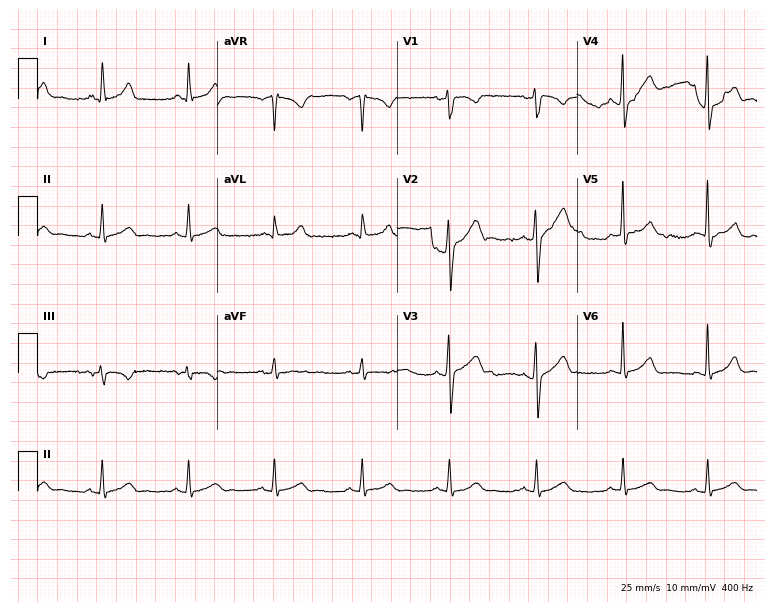
Resting 12-lead electrocardiogram. Patient: a man, 43 years old. Read as a normal ECG.